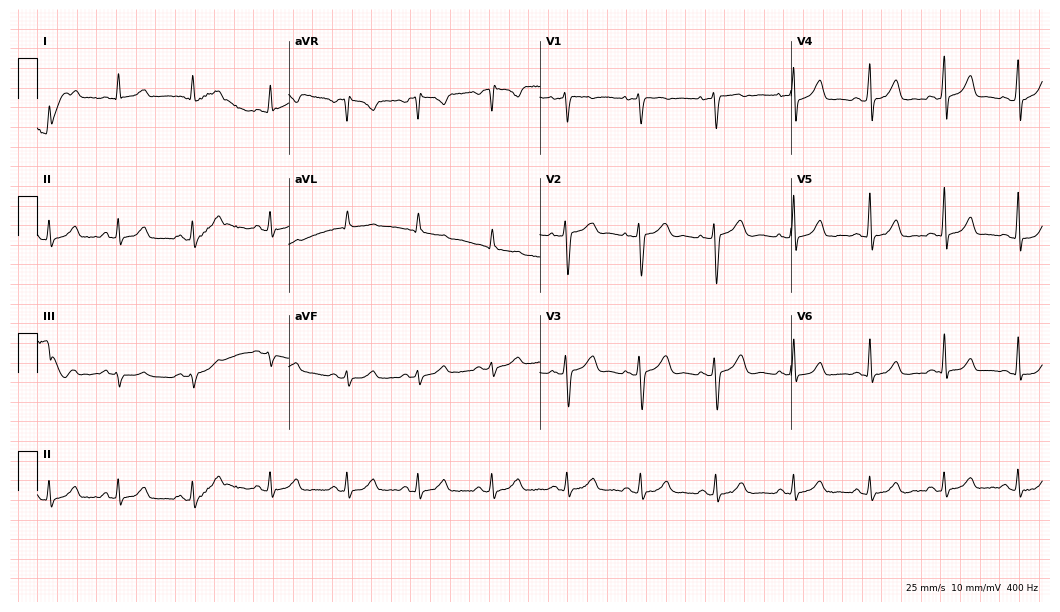
ECG (10.2-second recording at 400 Hz) — a female, 45 years old. Labelled as a normal ECG.